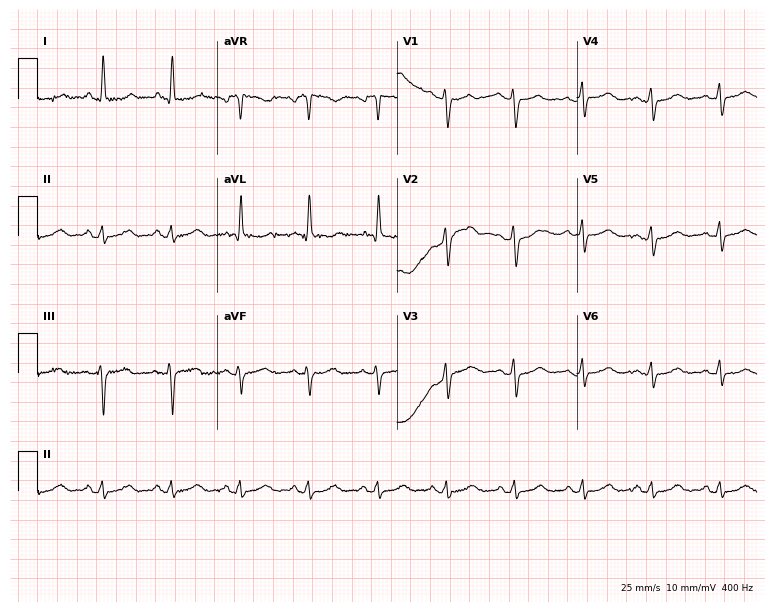
ECG — a woman, 66 years old. Labelled as a normal ECG.